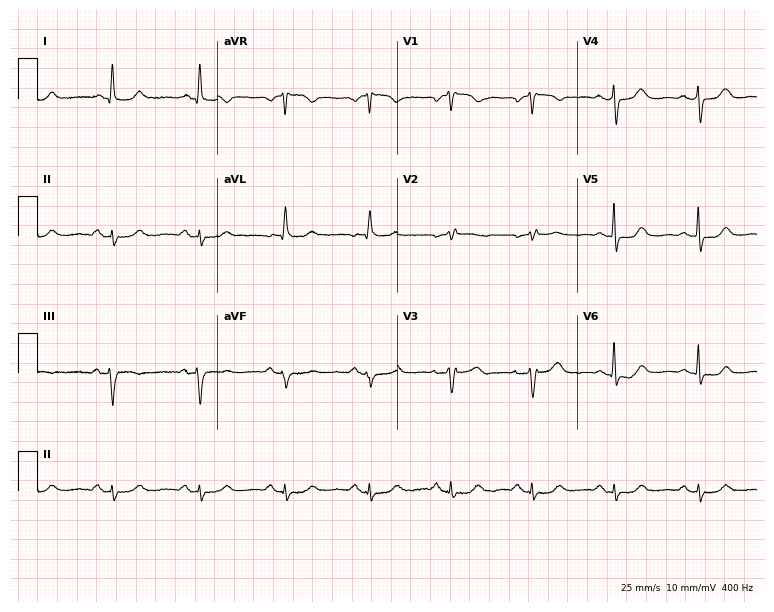
Electrocardiogram, a female, 76 years old. Of the six screened findings (first-degree AV block, right bundle branch block, left bundle branch block, sinus bradycardia, atrial fibrillation, sinus tachycardia), none is recorded. Findings outside these six are not listed.